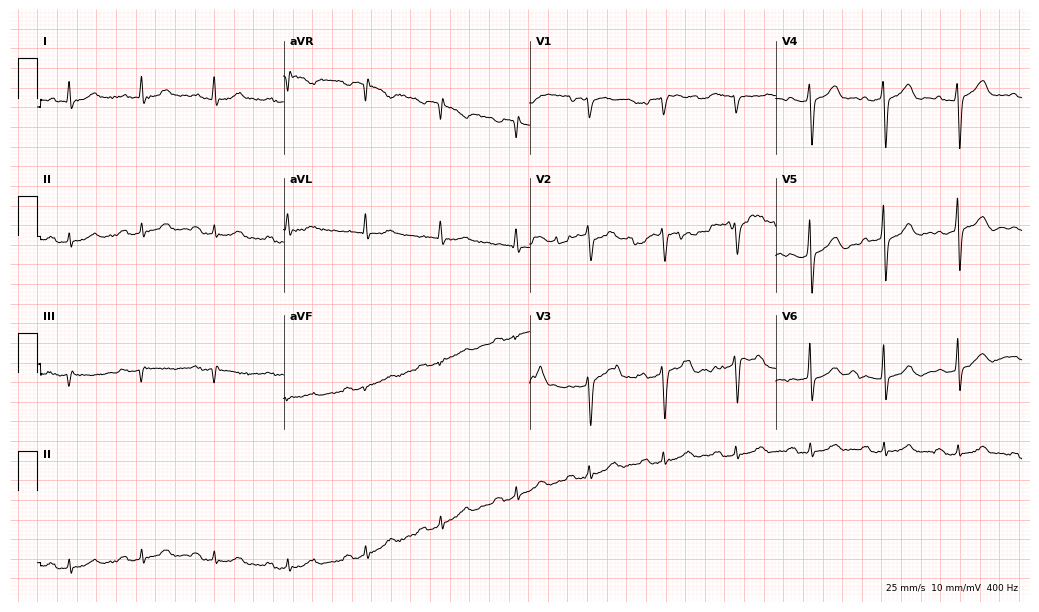
Electrocardiogram, a 67-year-old man. Overall reading on record: normal ECG.